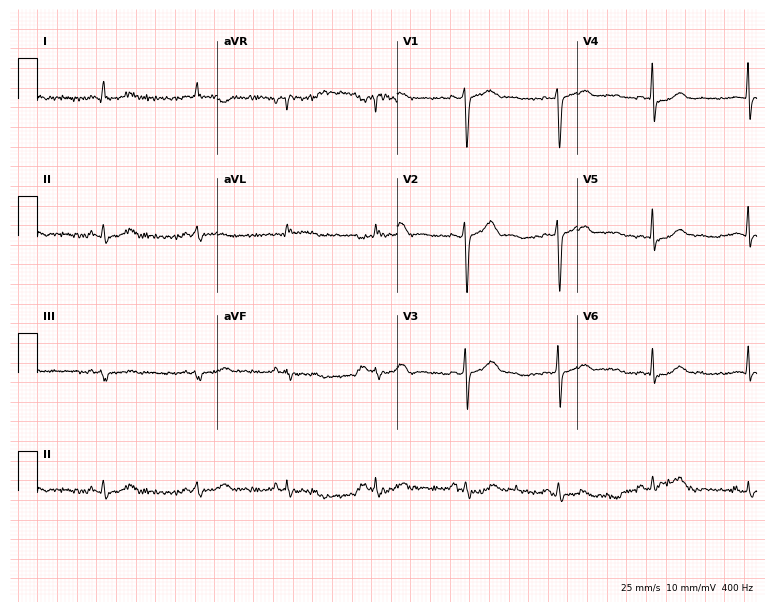
Standard 12-lead ECG recorded from a female, 38 years old. None of these six findings is recorded: first-degree AV block, right bundle branch block, left bundle branch block, sinus bradycardia, atrial fibrillation, sinus tachycardia.